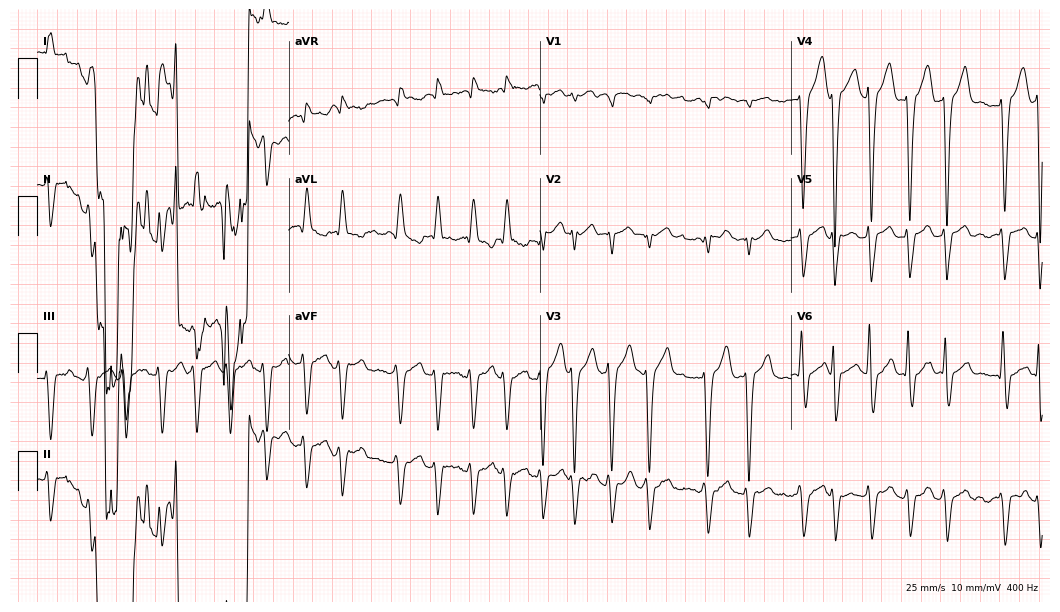
12-lead ECG from a male patient, 71 years old (10.2-second recording at 400 Hz). Shows atrial fibrillation (AF), sinus tachycardia (a sinus rate of 100 beats per minute or more).